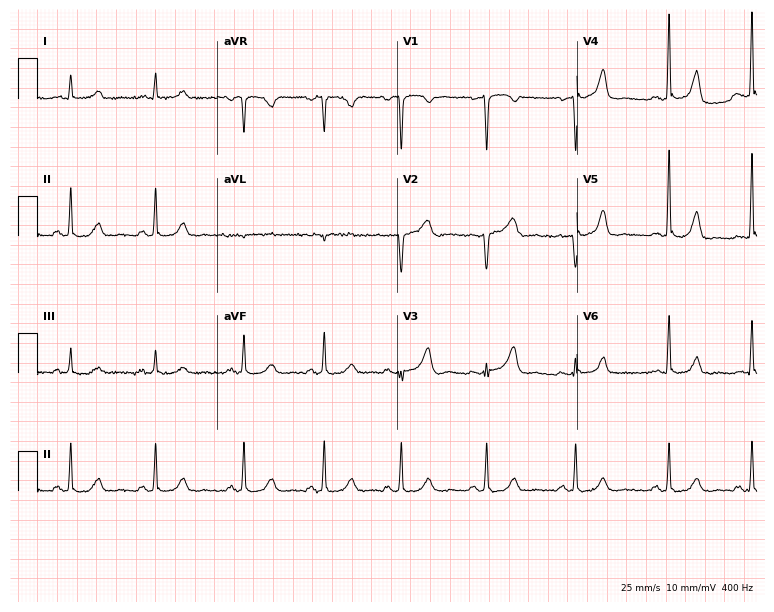
ECG — a female, 41 years old. Screened for six findings — first-degree AV block, right bundle branch block (RBBB), left bundle branch block (LBBB), sinus bradycardia, atrial fibrillation (AF), sinus tachycardia — none is recorded. Findings outside these six are not listed.